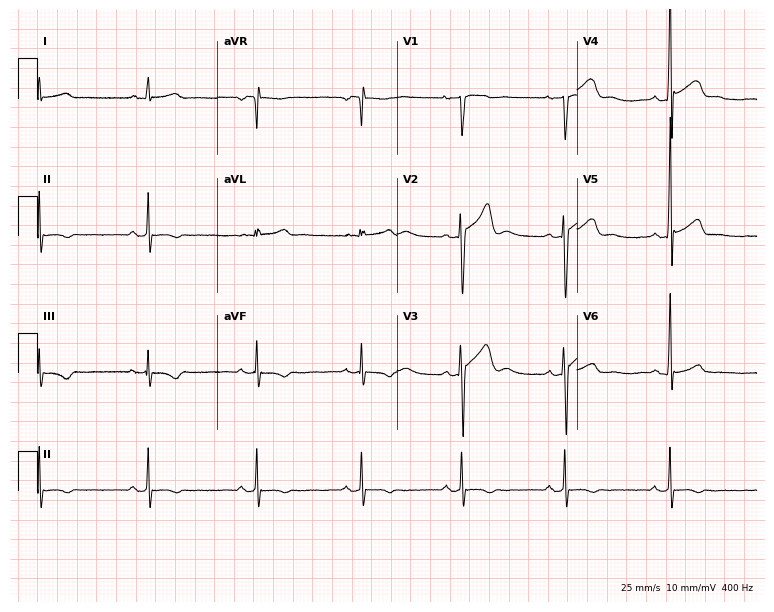
Resting 12-lead electrocardiogram (7.3-second recording at 400 Hz). Patient: a male, 20 years old. None of these six findings is recorded: first-degree AV block, right bundle branch block (RBBB), left bundle branch block (LBBB), sinus bradycardia, atrial fibrillation (AF), sinus tachycardia. Other findings, if any, are not listed.